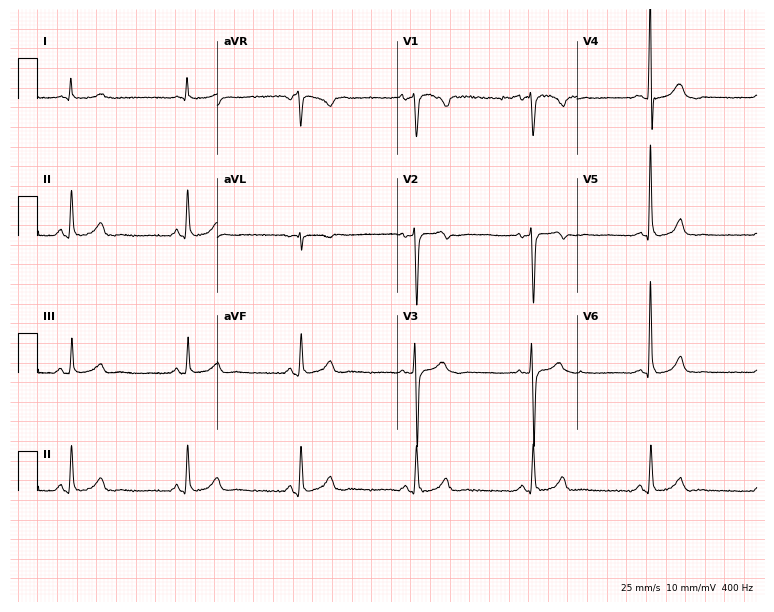
ECG (7.3-second recording at 400 Hz) — a male, 36 years old. Labelled as a normal ECG.